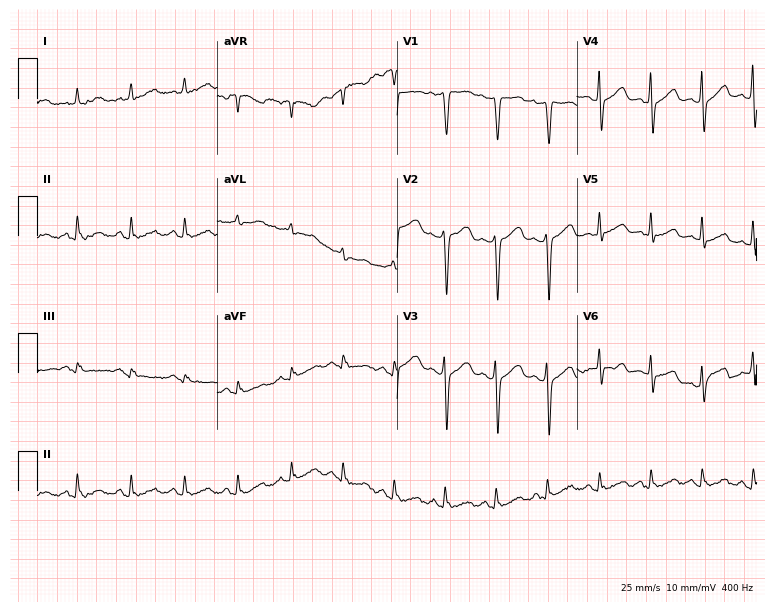
12-lead ECG (7.3-second recording at 400 Hz) from a 45-year-old female. Findings include sinus tachycardia (a sinus rate of 100 beats per minute or more).